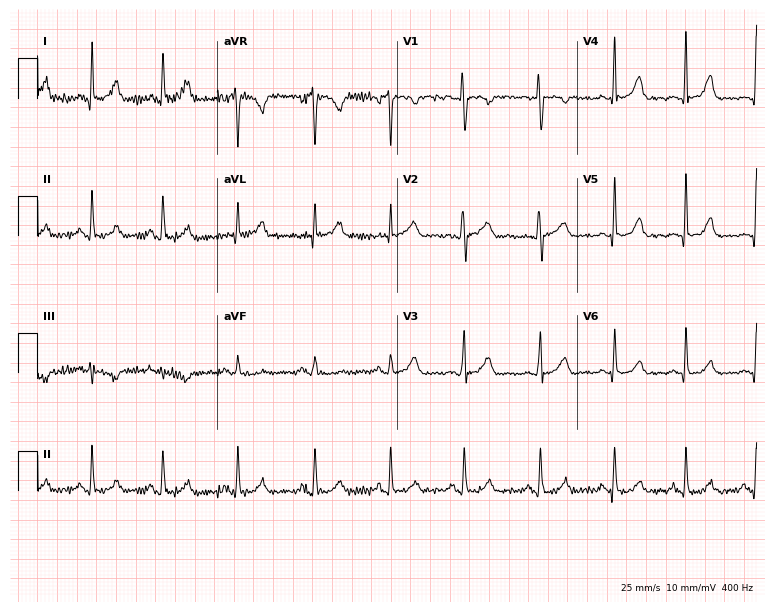
12-lead ECG from a 38-year-old female patient. Labelled as a normal ECG.